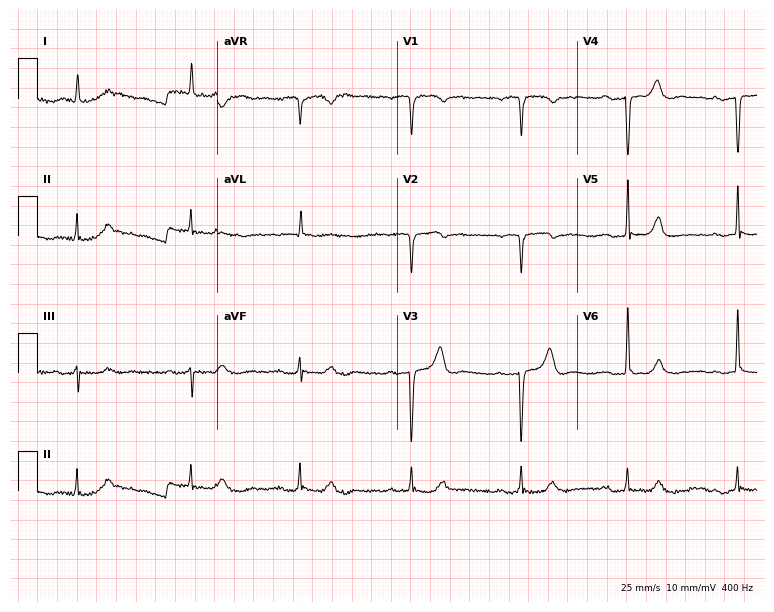
Electrocardiogram (7.3-second recording at 400 Hz), a 78-year-old male. Interpretation includes first-degree AV block.